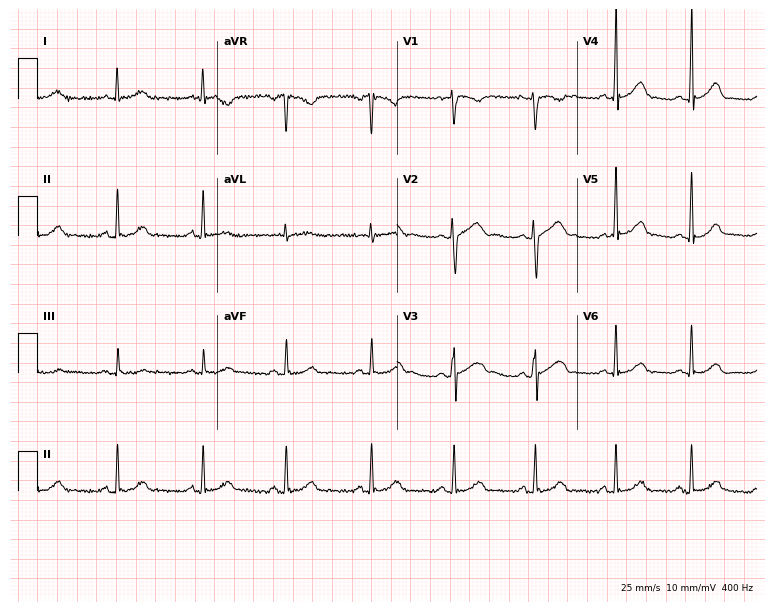
Standard 12-lead ECG recorded from a woman, 22 years old. Read as a normal ECG.